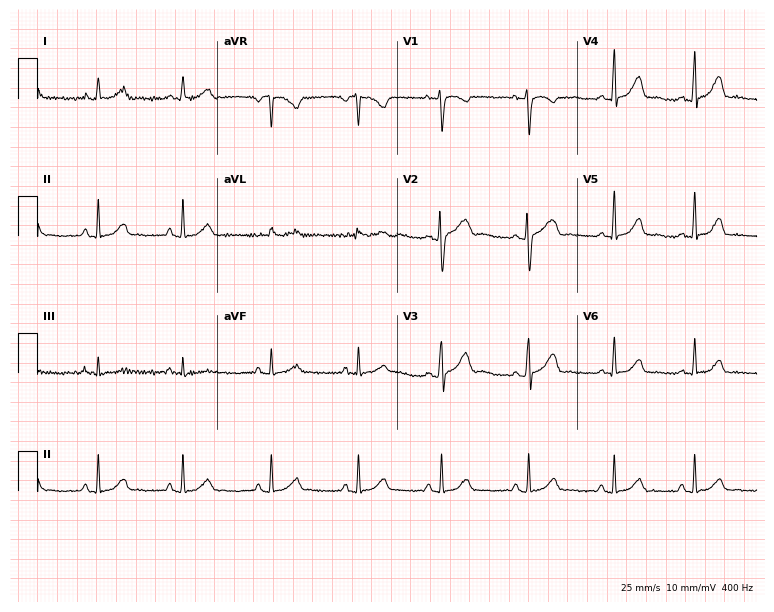
Standard 12-lead ECG recorded from a woman, 29 years old. Read as a normal ECG.